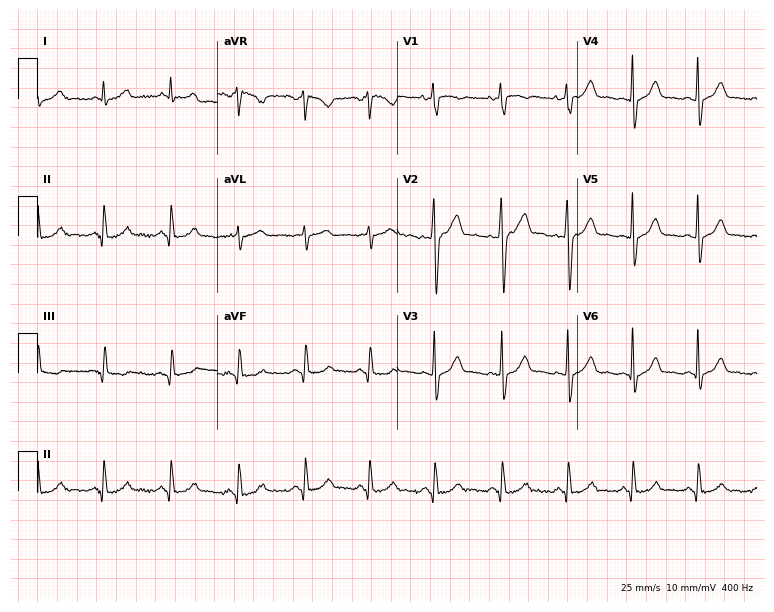
Electrocardiogram, a man, 42 years old. Of the six screened findings (first-degree AV block, right bundle branch block (RBBB), left bundle branch block (LBBB), sinus bradycardia, atrial fibrillation (AF), sinus tachycardia), none is recorded. Findings outside these six are not listed.